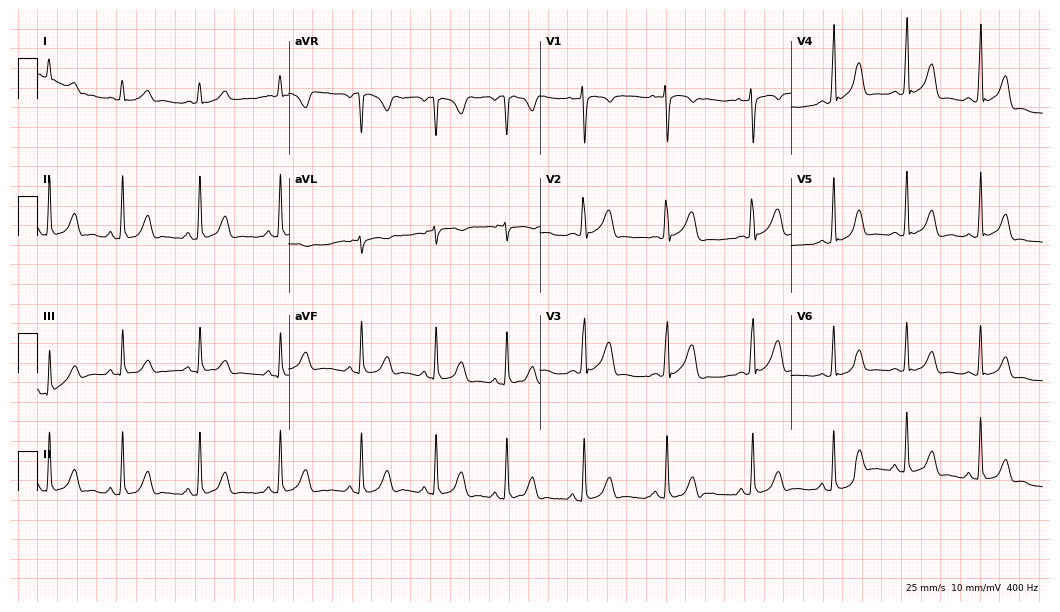
Electrocardiogram, a 24-year-old woman. Overall reading on record: normal ECG.